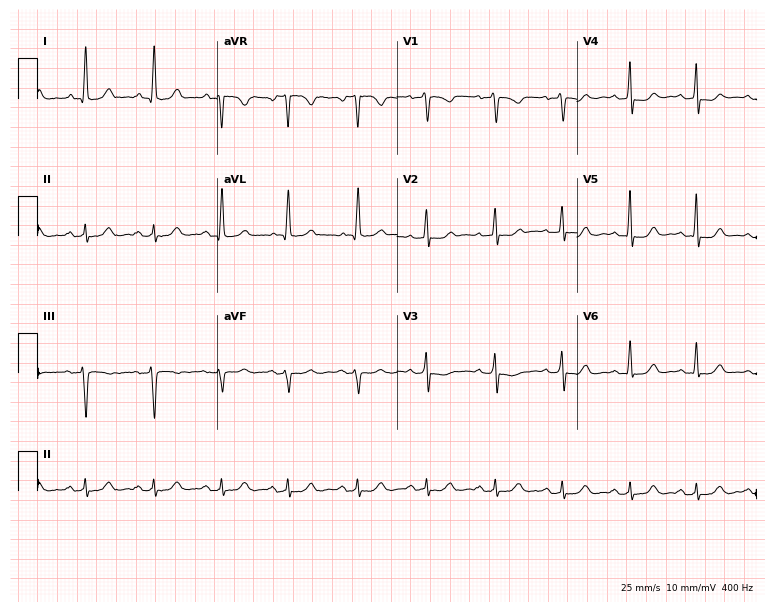
Resting 12-lead electrocardiogram. Patient: a female, 71 years old. None of these six findings is recorded: first-degree AV block, right bundle branch block, left bundle branch block, sinus bradycardia, atrial fibrillation, sinus tachycardia. Only these six findings were labelled.